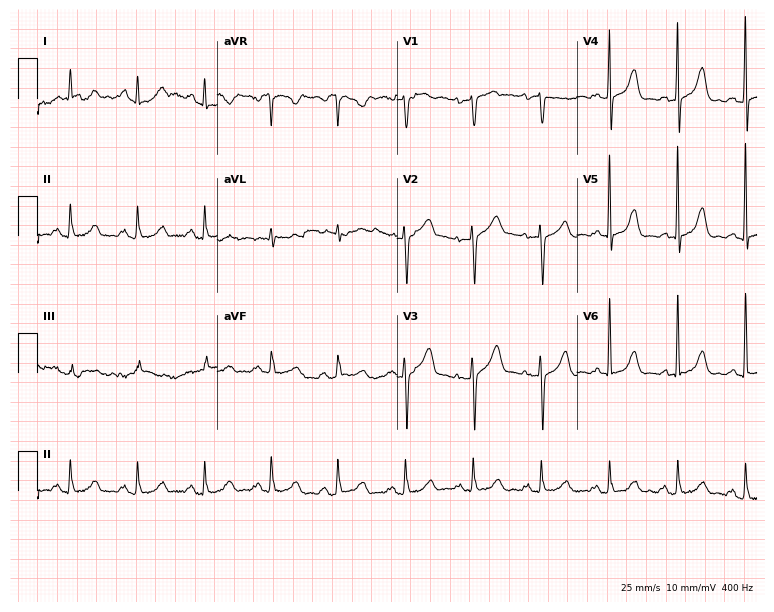
Standard 12-lead ECG recorded from a male patient, 82 years old. None of these six findings is recorded: first-degree AV block, right bundle branch block (RBBB), left bundle branch block (LBBB), sinus bradycardia, atrial fibrillation (AF), sinus tachycardia. Findings outside these six are not listed.